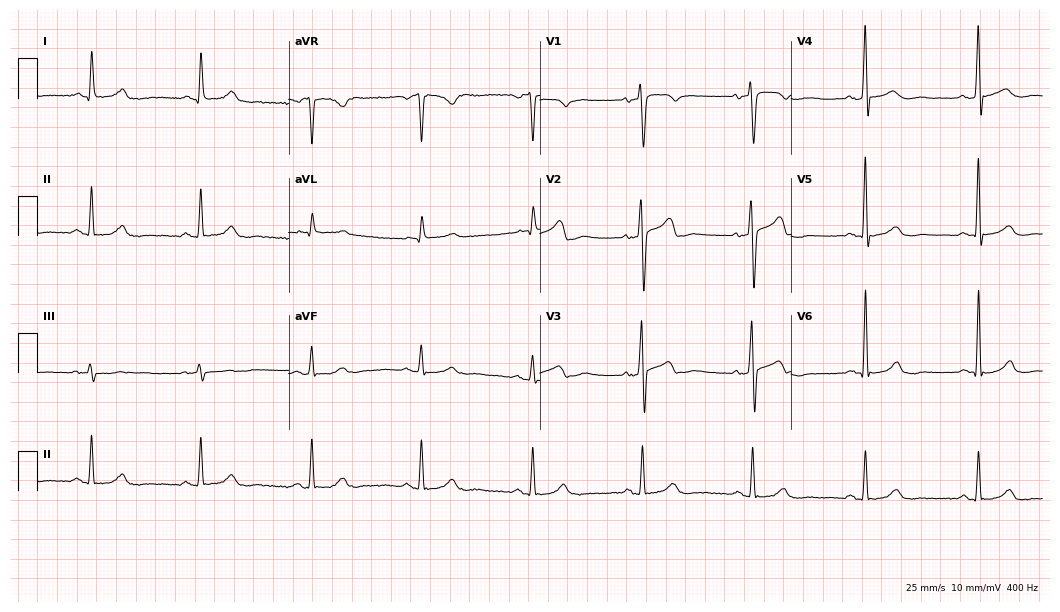
12-lead ECG from a 65-year-old male (10.2-second recording at 400 Hz). Recorded interpretation: within normal limits.